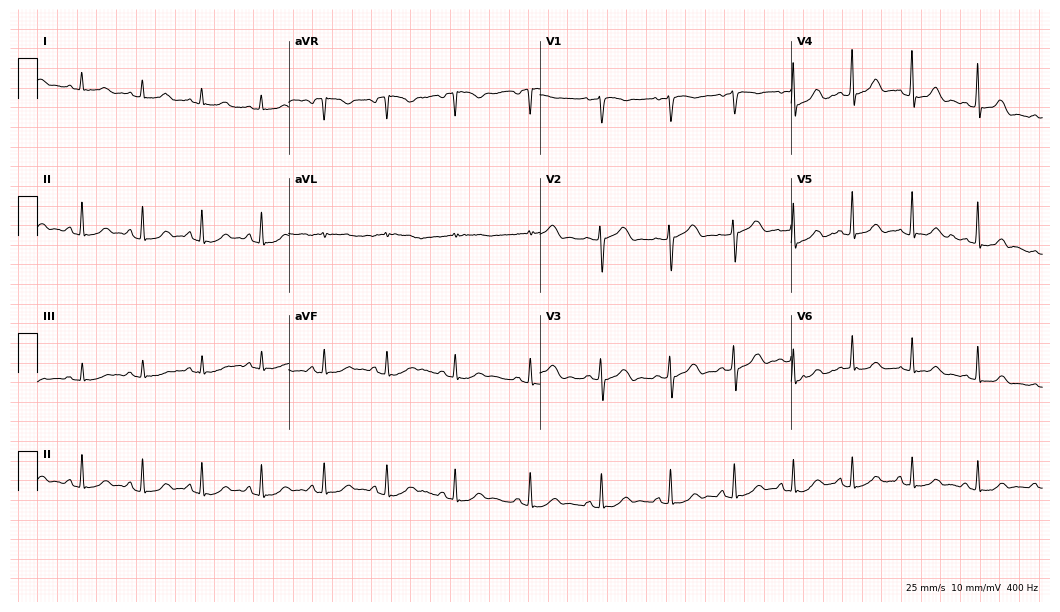
Standard 12-lead ECG recorded from a female, 45 years old. Read as a normal ECG.